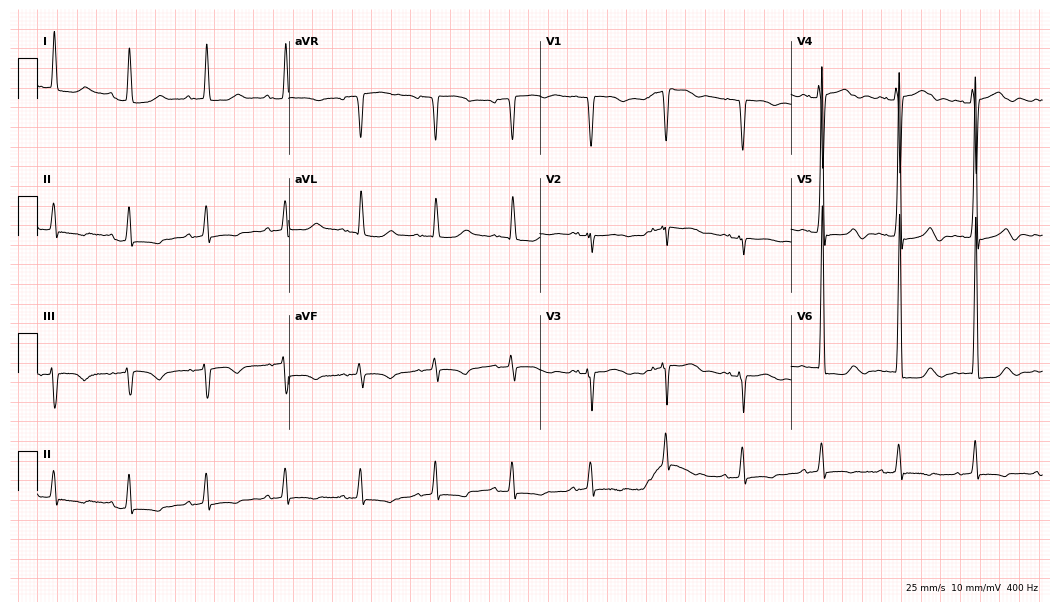
12-lead ECG (10.2-second recording at 400 Hz) from a male, 70 years old. Screened for six findings — first-degree AV block, right bundle branch block, left bundle branch block, sinus bradycardia, atrial fibrillation, sinus tachycardia — none is recorded. Only these six findings were labelled.